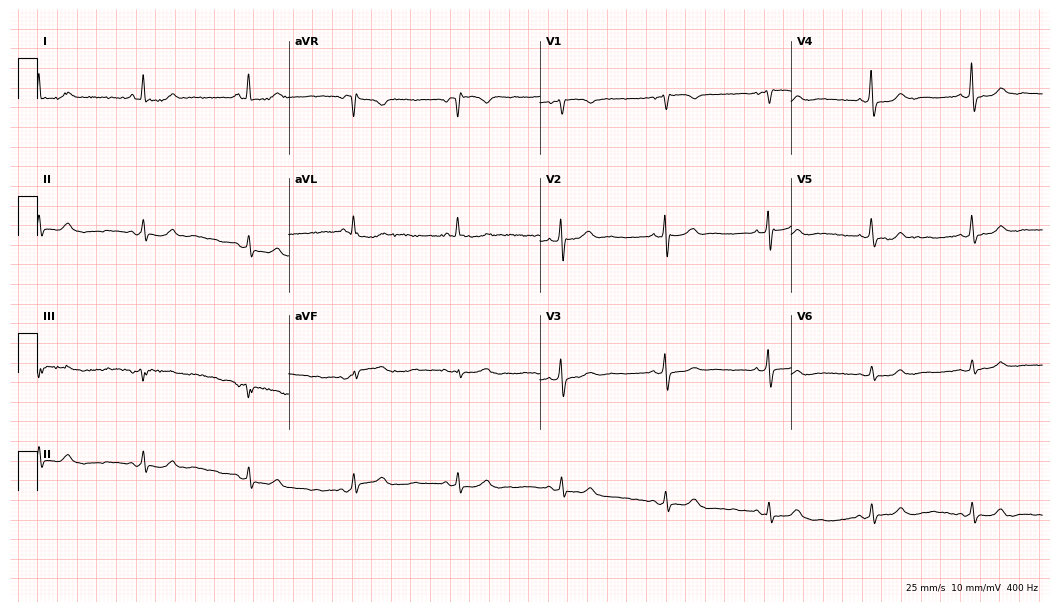
Resting 12-lead electrocardiogram (10.2-second recording at 400 Hz). Patient: a 56-year-old female. None of these six findings is recorded: first-degree AV block, right bundle branch block, left bundle branch block, sinus bradycardia, atrial fibrillation, sinus tachycardia. Findings outside these six are not listed.